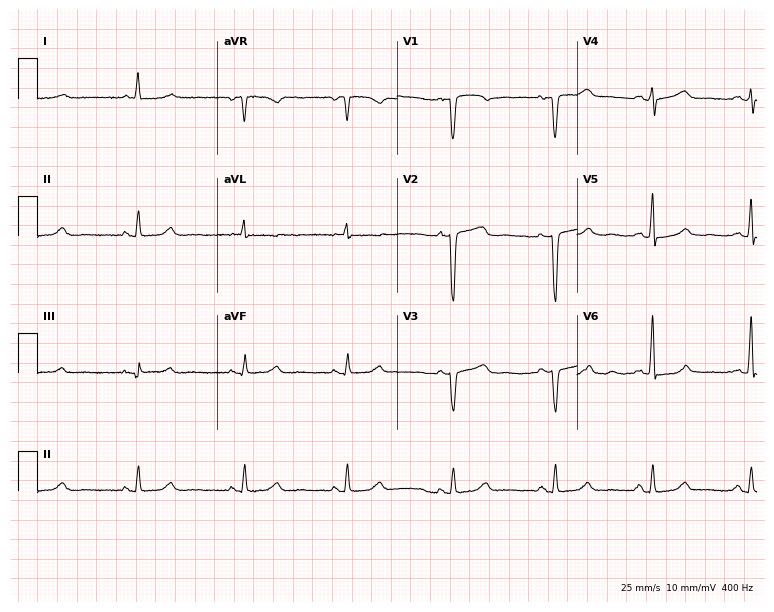
ECG — a 79-year-old woman. Screened for six findings — first-degree AV block, right bundle branch block, left bundle branch block, sinus bradycardia, atrial fibrillation, sinus tachycardia — none is recorded.